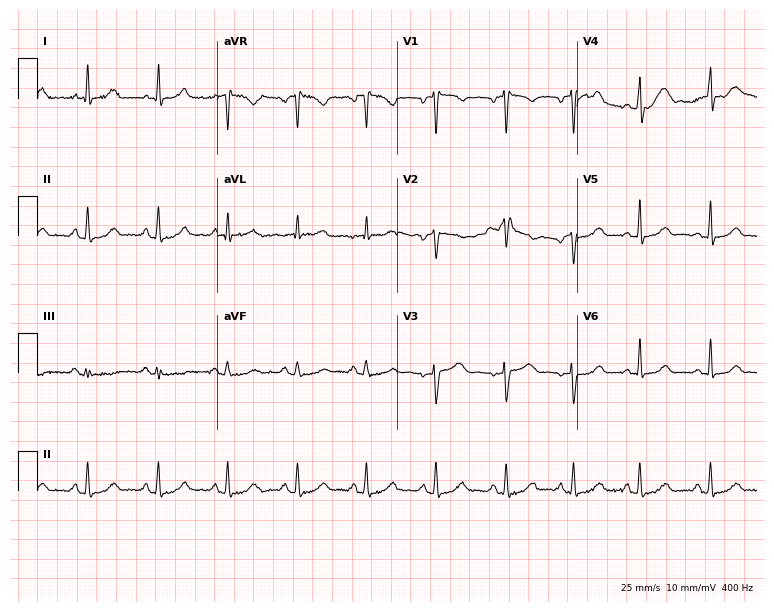
12-lead ECG (7.3-second recording at 400 Hz) from a 31-year-old female. Labelled as a normal ECG.